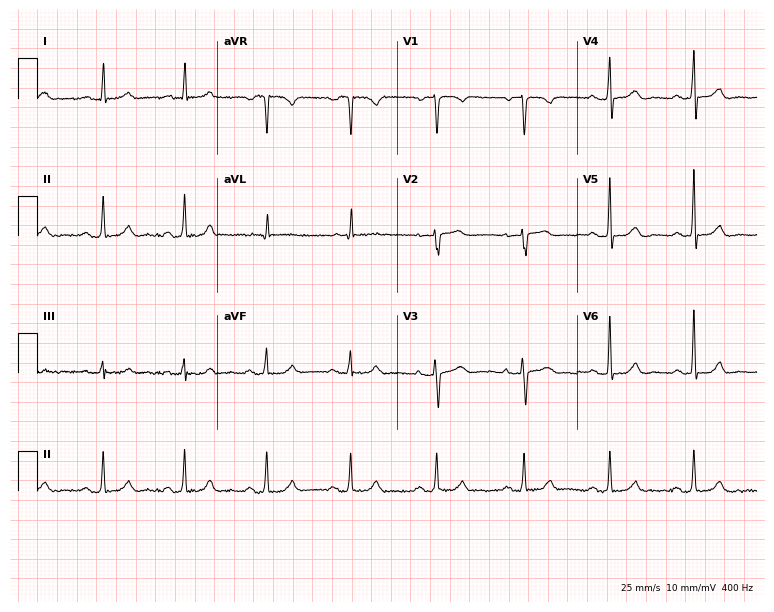
12-lead ECG from a female patient, 67 years old. Labelled as a normal ECG.